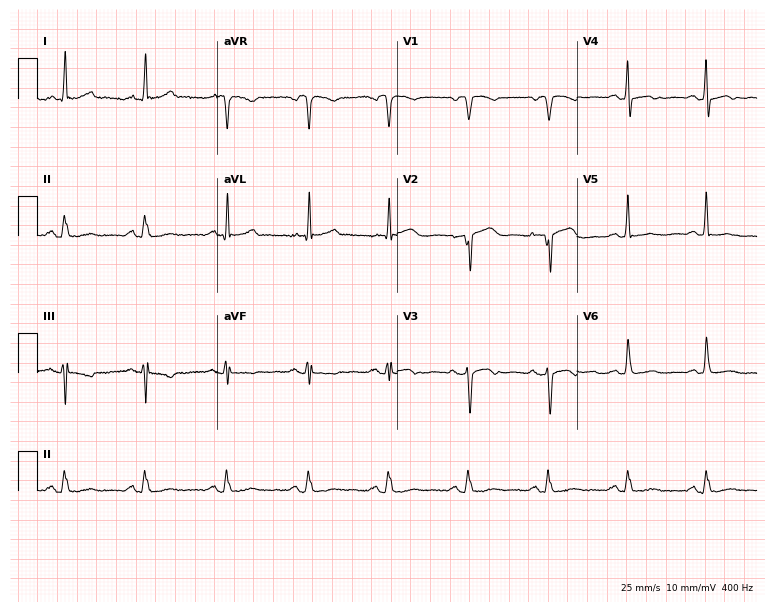
ECG — a 70-year-old female. Screened for six findings — first-degree AV block, right bundle branch block, left bundle branch block, sinus bradycardia, atrial fibrillation, sinus tachycardia — none is recorded.